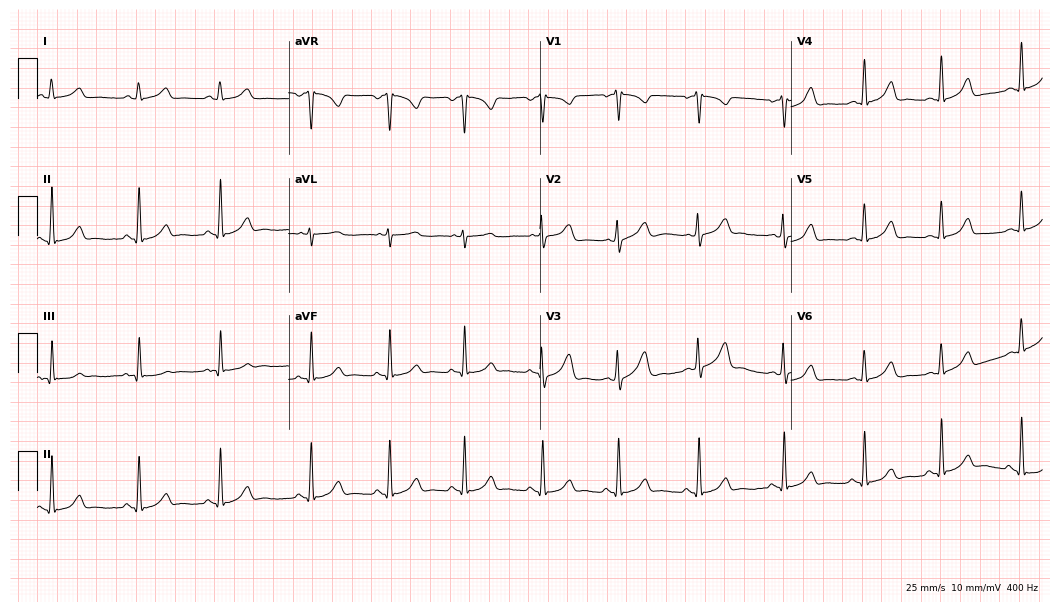
Electrocardiogram, a woman, 24 years old. Overall reading on record: normal ECG.